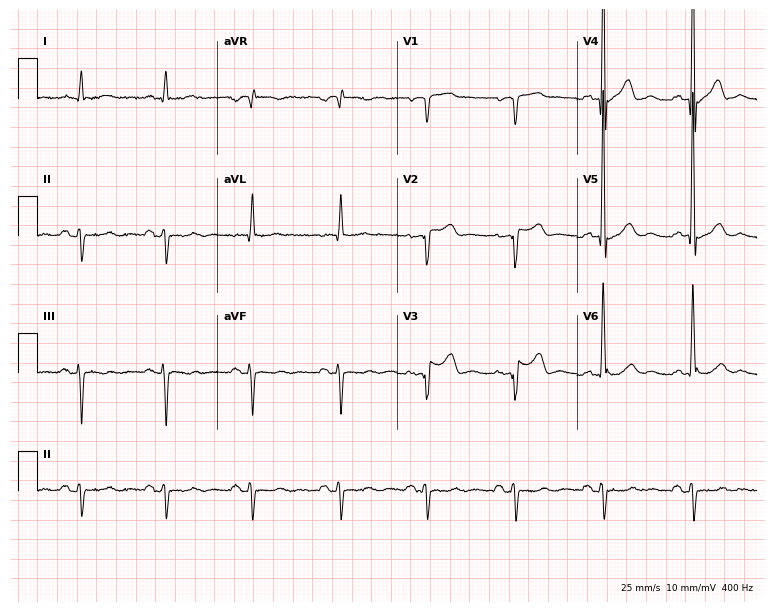
ECG — a man, 52 years old. Screened for six findings — first-degree AV block, right bundle branch block, left bundle branch block, sinus bradycardia, atrial fibrillation, sinus tachycardia — none is recorded. Other findings, if any, are not listed.